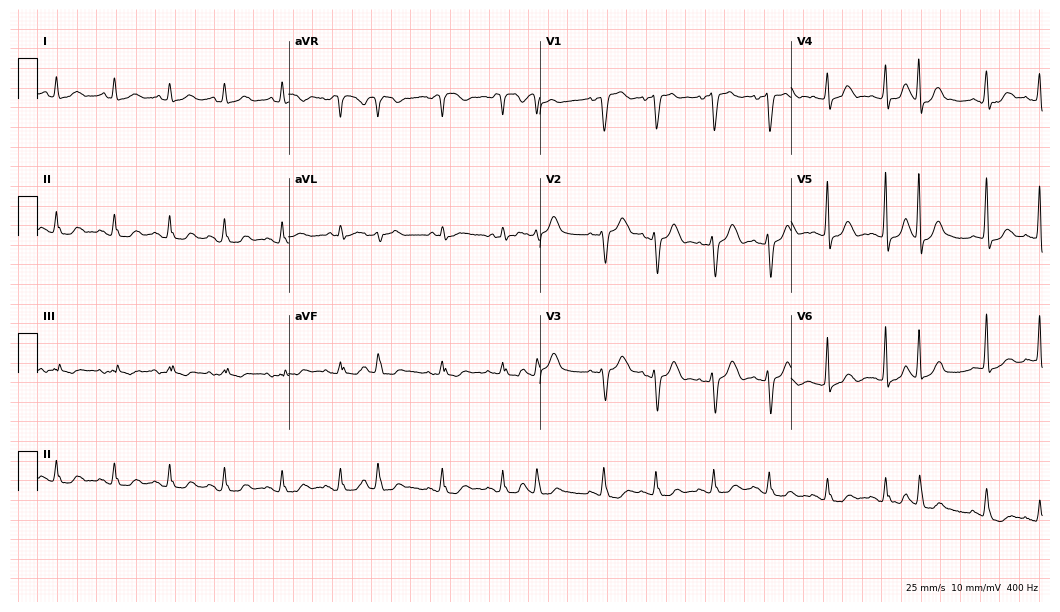
ECG (10.2-second recording at 400 Hz) — a female, 73 years old. Findings include sinus tachycardia (a sinus rate of 100 beats per minute or more).